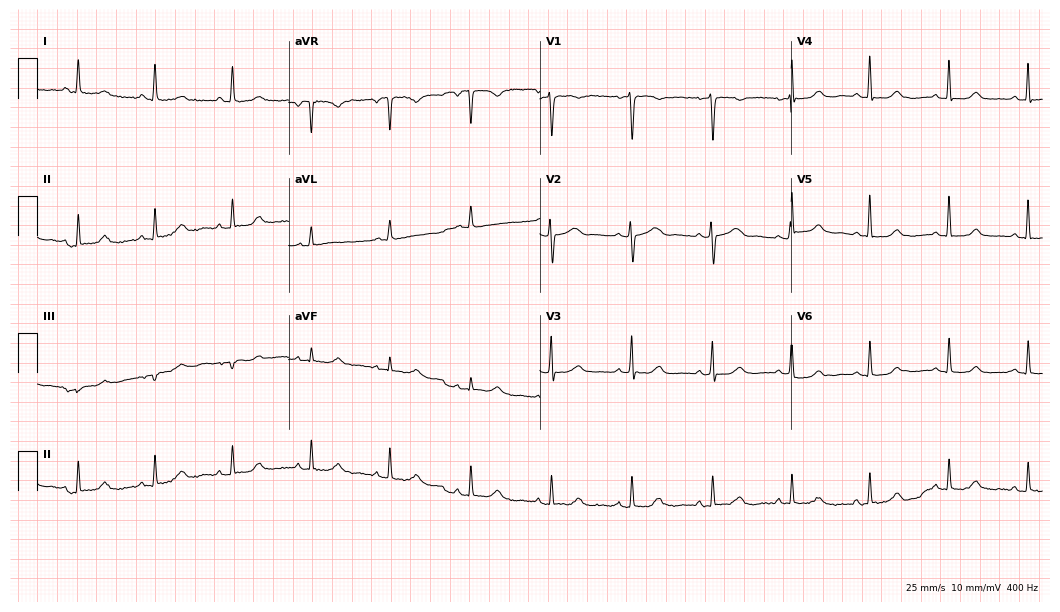
Resting 12-lead electrocardiogram (10.2-second recording at 400 Hz). Patient: a 40-year-old female. Read as a normal ECG.